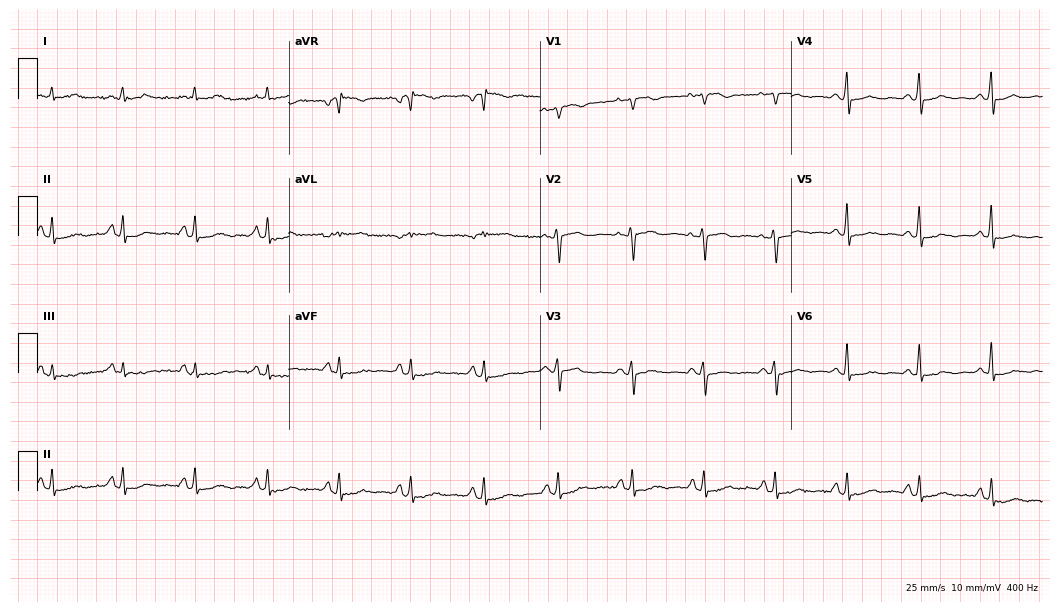
Electrocardiogram, a 49-year-old female patient. Of the six screened findings (first-degree AV block, right bundle branch block, left bundle branch block, sinus bradycardia, atrial fibrillation, sinus tachycardia), none is recorded.